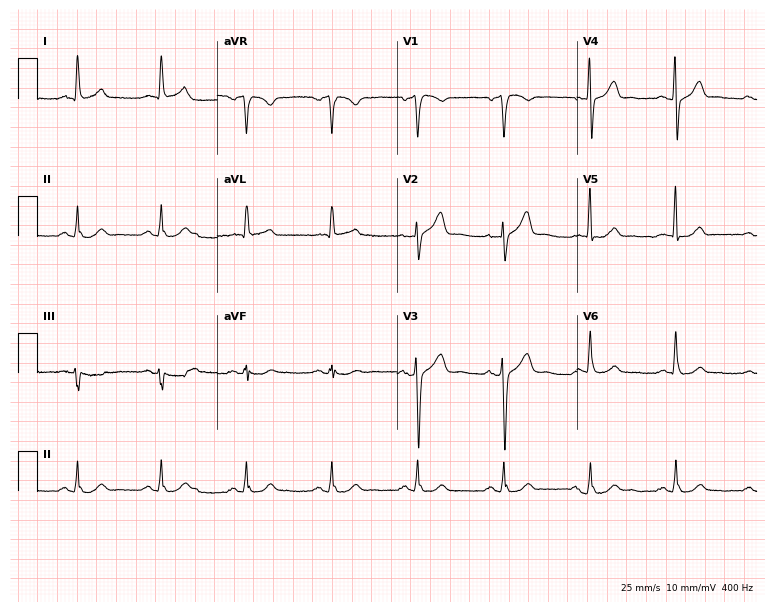
ECG (7.3-second recording at 400 Hz) — a 61-year-old man. Labelled as a normal ECG.